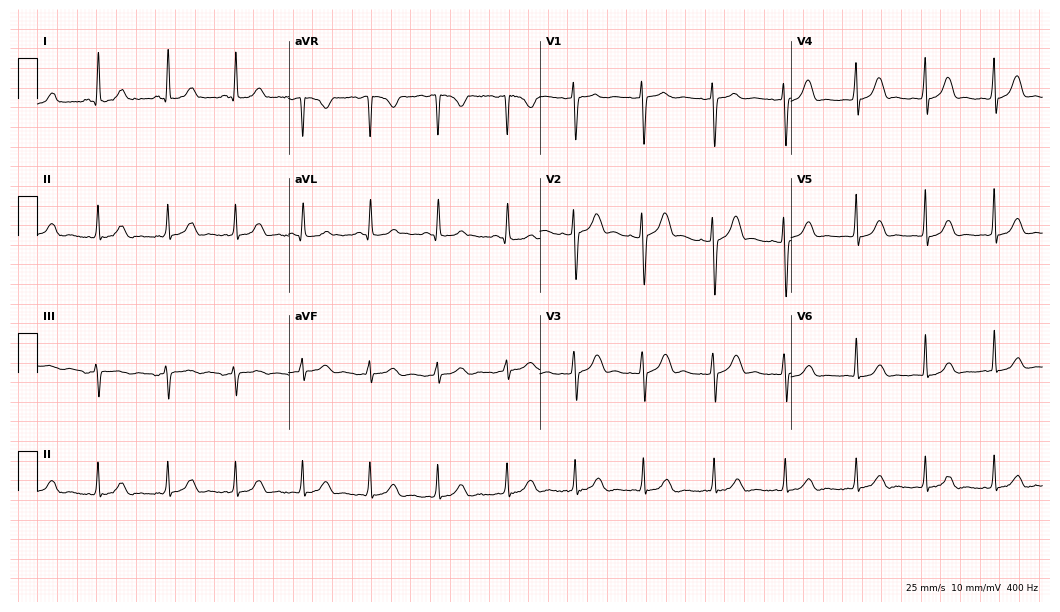
Resting 12-lead electrocardiogram (10.2-second recording at 400 Hz). Patient: a 40-year-old female. None of these six findings is recorded: first-degree AV block, right bundle branch block, left bundle branch block, sinus bradycardia, atrial fibrillation, sinus tachycardia.